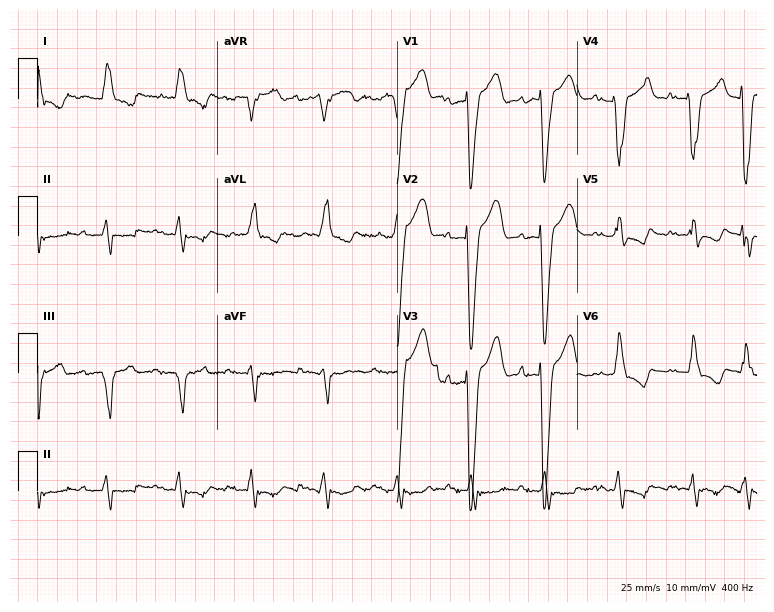
12-lead ECG from a male patient, 84 years old. Shows first-degree AV block, left bundle branch block.